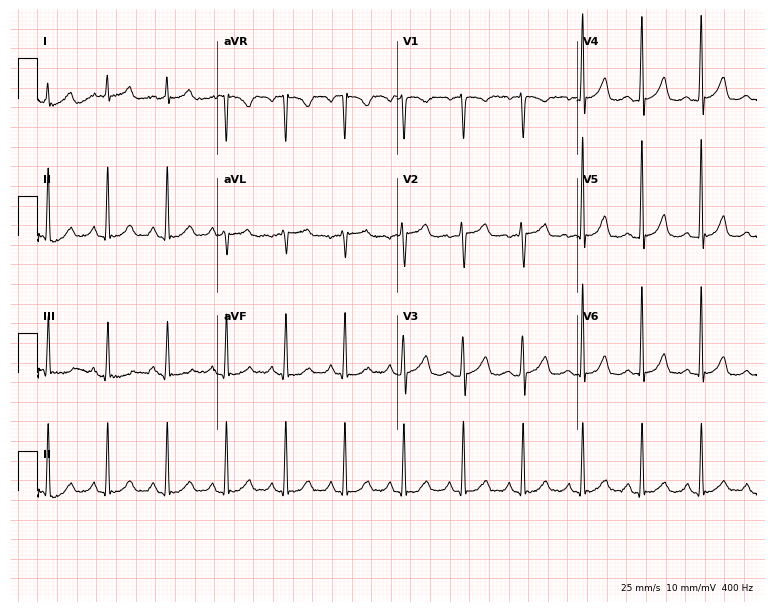
12-lead ECG (7.3-second recording at 400 Hz) from a 43-year-old female. Screened for six findings — first-degree AV block, right bundle branch block, left bundle branch block, sinus bradycardia, atrial fibrillation, sinus tachycardia — none is recorded.